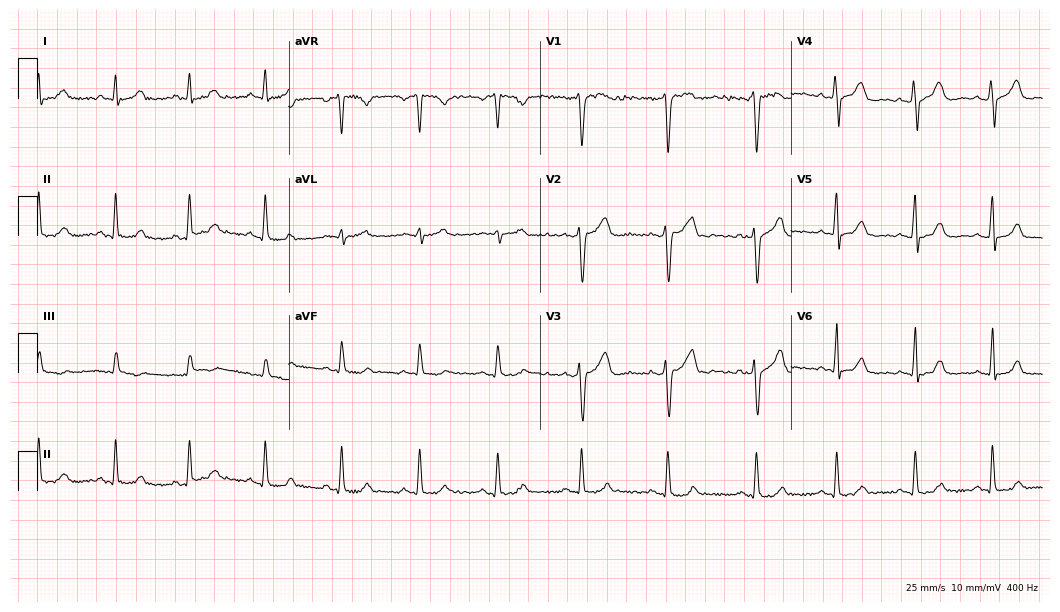
12-lead ECG from a 33-year-old man. Recorded interpretation: within normal limits.